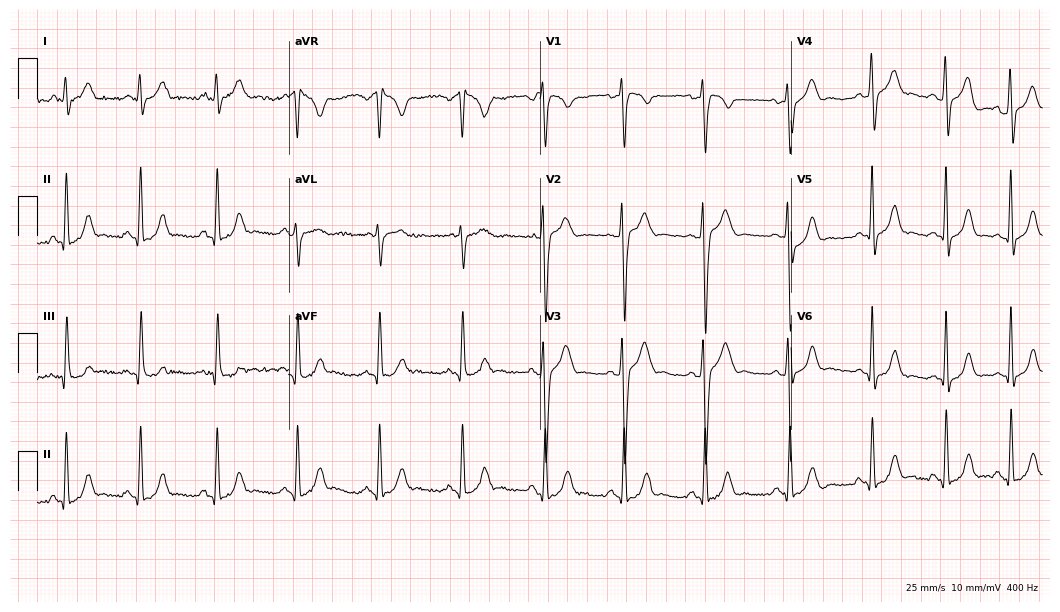
ECG — a 23-year-old male. Labelled as a normal ECG.